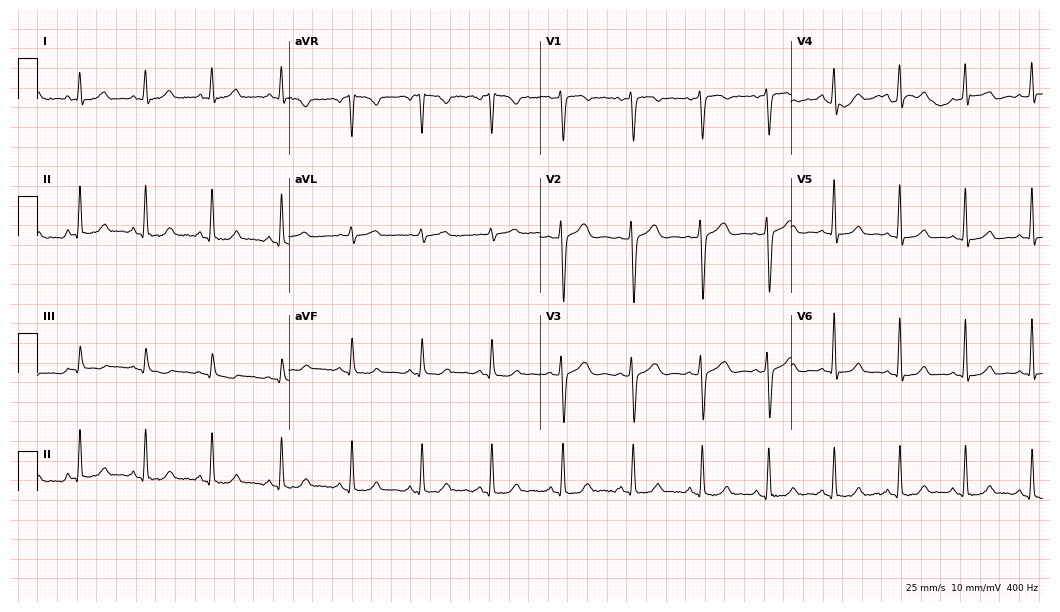
12-lead ECG from a woman, 39 years old. Labelled as a normal ECG.